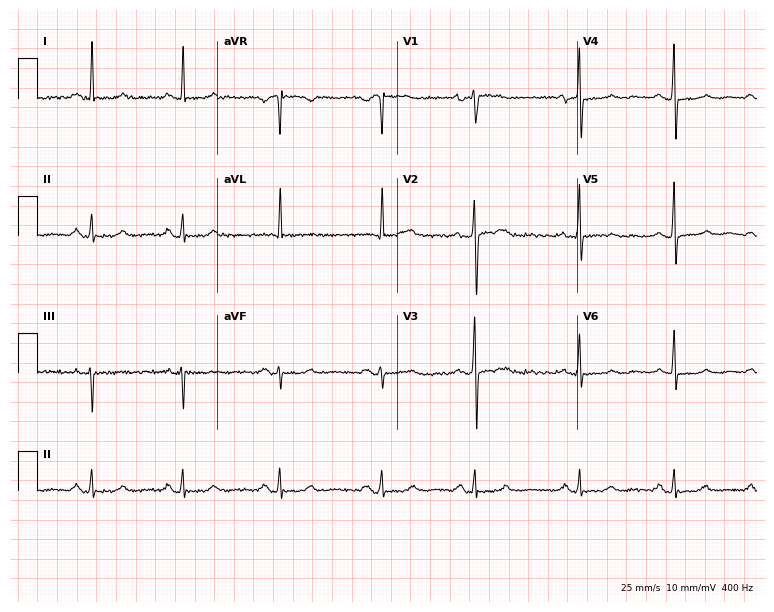
ECG (7.3-second recording at 400 Hz) — a 58-year-old female patient. Screened for six findings — first-degree AV block, right bundle branch block, left bundle branch block, sinus bradycardia, atrial fibrillation, sinus tachycardia — none is recorded. Other findings, if any, are not listed.